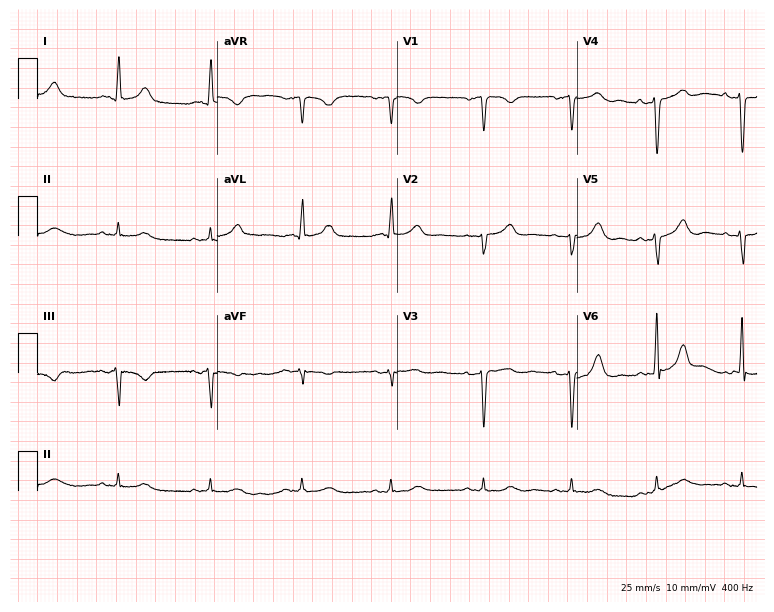
Electrocardiogram (7.3-second recording at 400 Hz), an 84-year-old male. Of the six screened findings (first-degree AV block, right bundle branch block, left bundle branch block, sinus bradycardia, atrial fibrillation, sinus tachycardia), none is recorded.